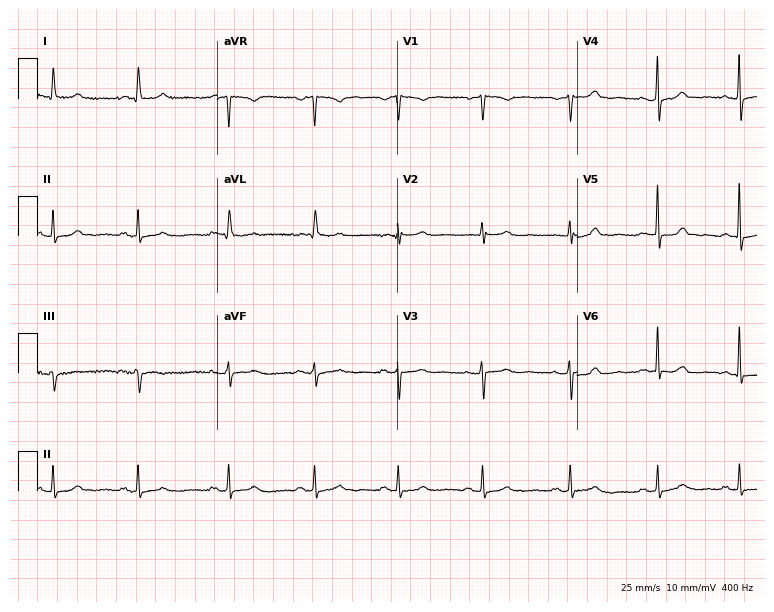
Standard 12-lead ECG recorded from a woman, 78 years old. None of these six findings is recorded: first-degree AV block, right bundle branch block, left bundle branch block, sinus bradycardia, atrial fibrillation, sinus tachycardia.